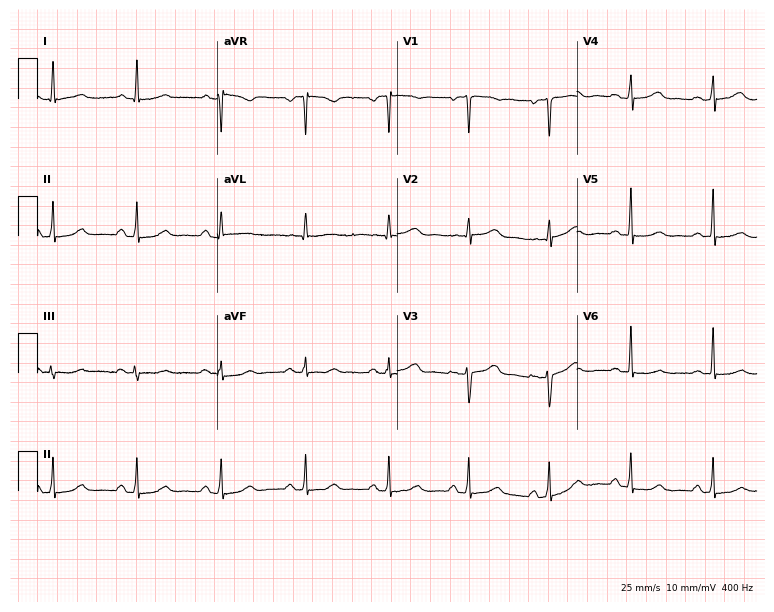
Standard 12-lead ECG recorded from a 41-year-old female patient (7.3-second recording at 400 Hz). Read as a normal ECG.